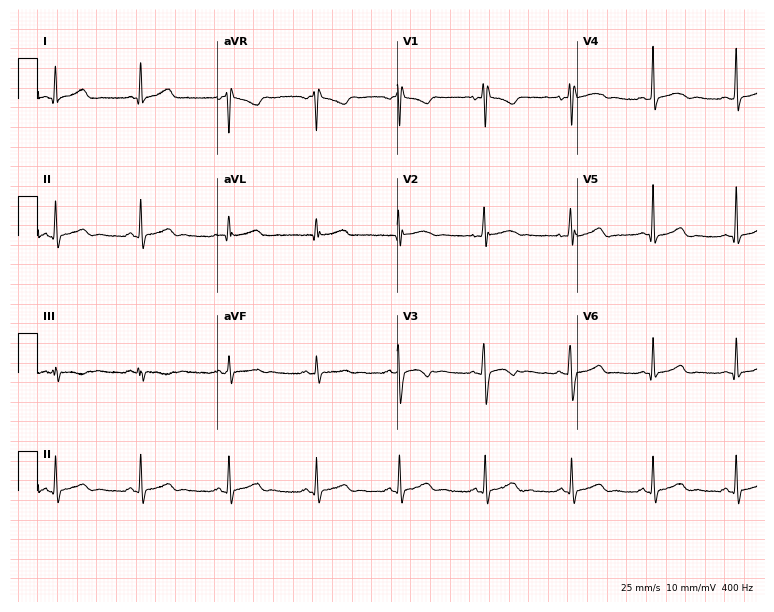
Electrocardiogram (7.3-second recording at 400 Hz), a female, 26 years old. Of the six screened findings (first-degree AV block, right bundle branch block (RBBB), left bundle branch block (LBBB), sinus bradycardia, atrial fibrillation (AF), sinus tachycardia), none is recorded. Only these six findings were labelled.